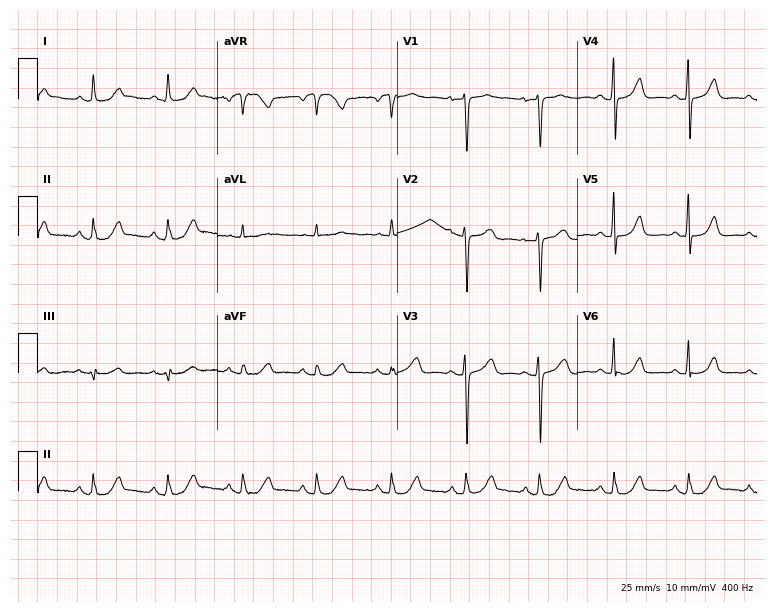
ECG (7.3-second recording at 400 Hz) — a woman, 66 years old. Labelled as a normal ECG.